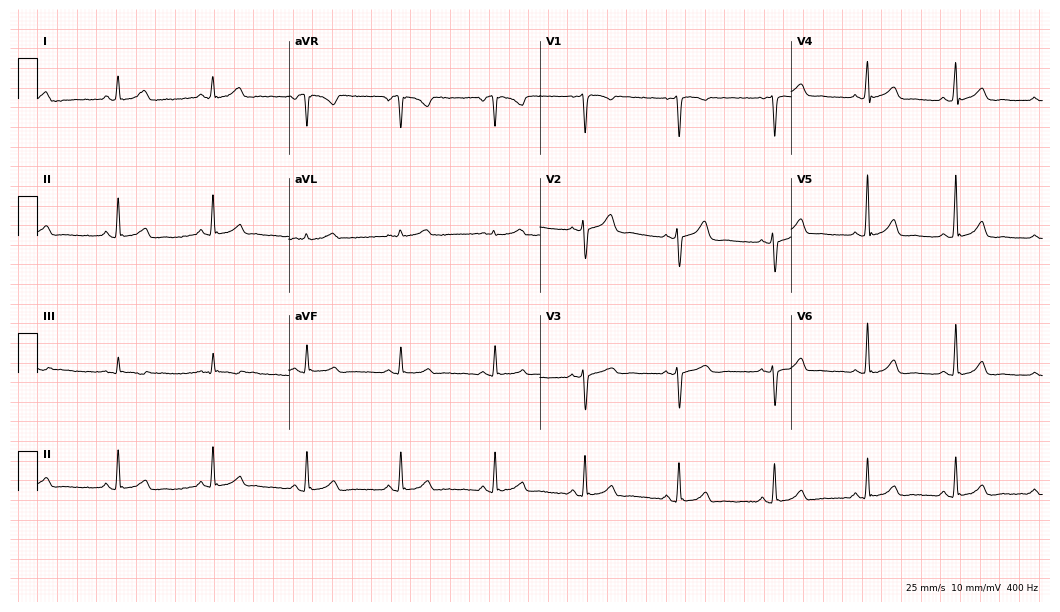
Standard 12-lead ECG recorded from a 39-year-old woman (10.2-second recording at 400 Hz). None of these six findings is recorded: first-degree AV block, right bundle branch block, left bundle branch block, sinus bradycardia, atrial fibrillation, sinus tachycardia.